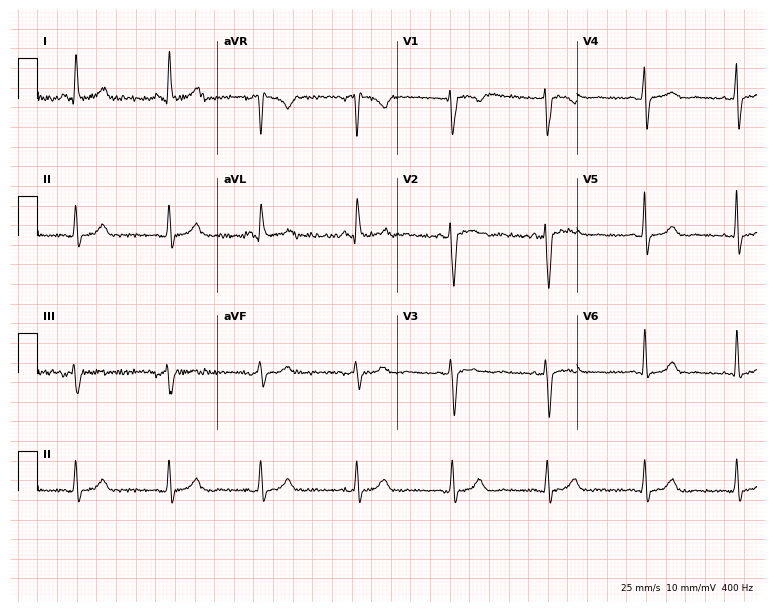
Electrocardiogram (7.3-second recording at 400 Hz), a woman, 50 years old. Overall reading on record: normal ECG.